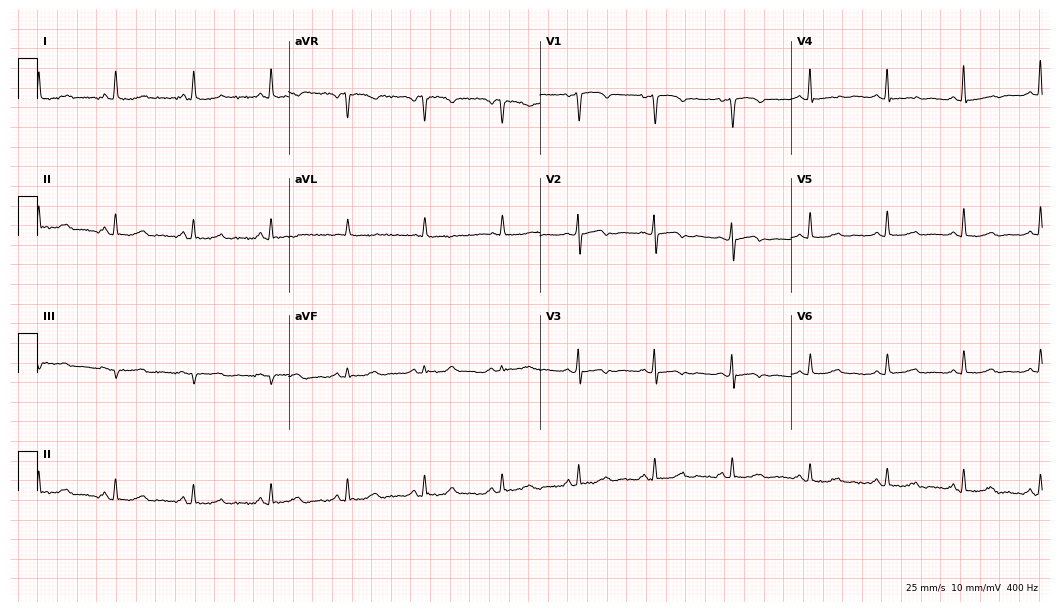
12-lead ECG (10.2-second recording at 400 Hz) from an 81-year-old female patient. Screened for six findings — first-degree AV block, right bundle branch block, left bundle branch block, sinus bradycardia, atrial fibrillation, sinus tachycardia — none is recorded. Other findings, if any, are not listed.